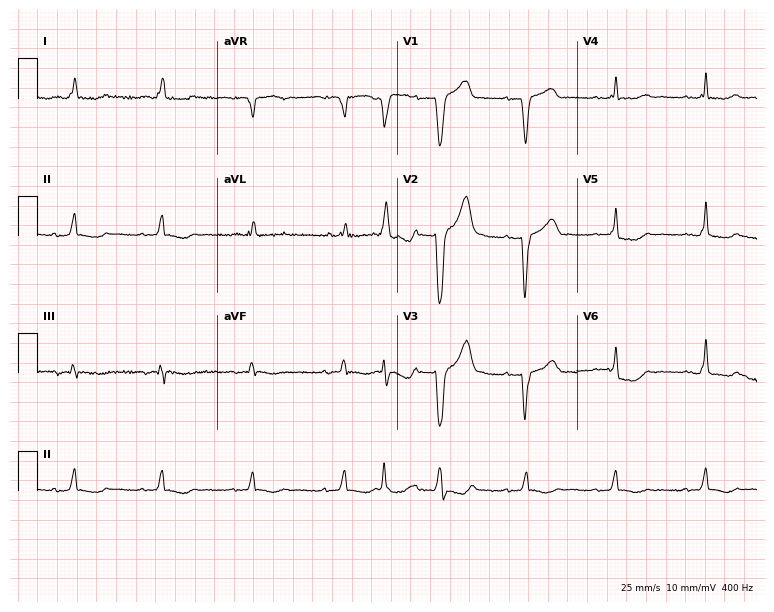
Standard 12-lead ECG recorded from a female, 80 years old (7.3-second recording at 400 Hz). None of these six findings is recorded: first-degree AV block, right bundle branch block, left bundle branch block, sinus bradycardia, atrial fibrillation, sinus tachycardia. Findings outside these six are not listed.